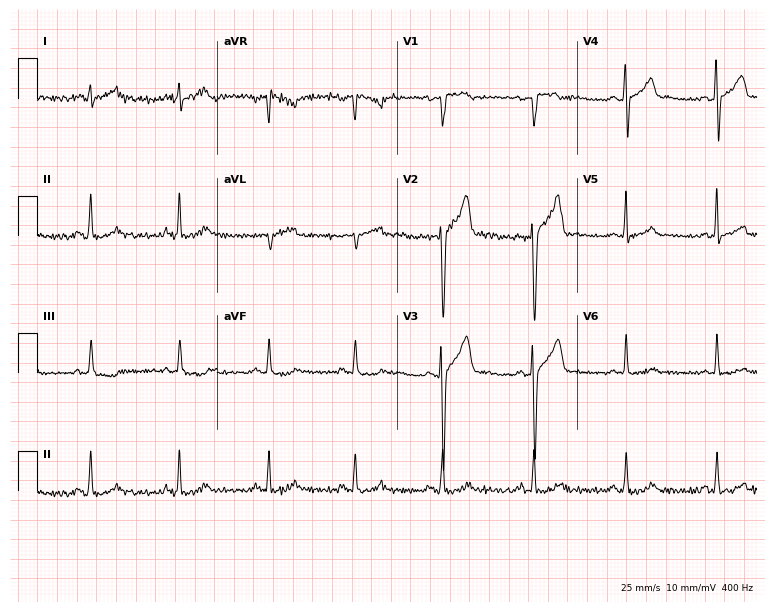
Standard 12-lead ECG recorded from a man, 28 years old (7.3-second recording at 400 Hz). None of these six findings is recorded: first-degree AV block, right bundle branch block (RBBB), left bundle branch block (LBBB), sinus bradycardia, atrial fibrillation (AF), sinus tachycardia. Only these six findings were labelled.